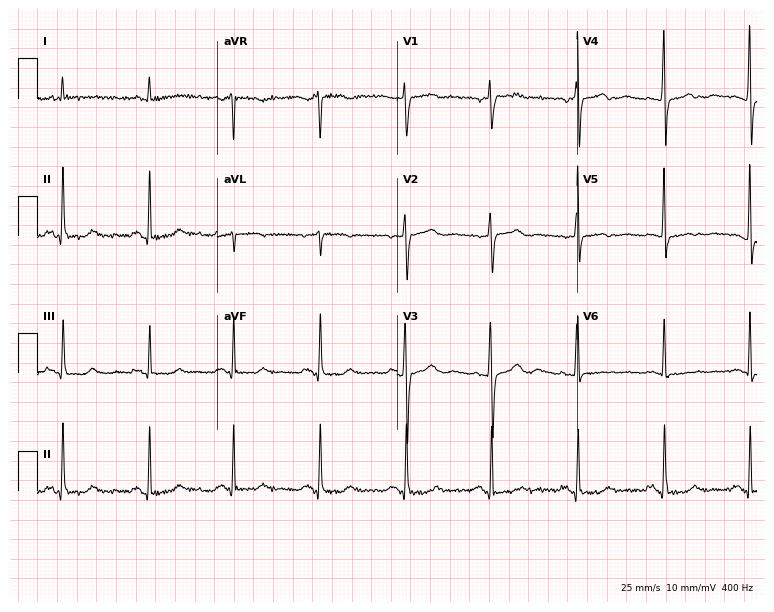
Electrocardiogram (7.3-second recording at 400 Hz), a 63-year-old female patient. Of the six screened findings (first-degree AV block, right bundle branch block, left bundle branch block, sinus bradycardia, atrial fibrillation, sinus tachycardia), none is recorded.